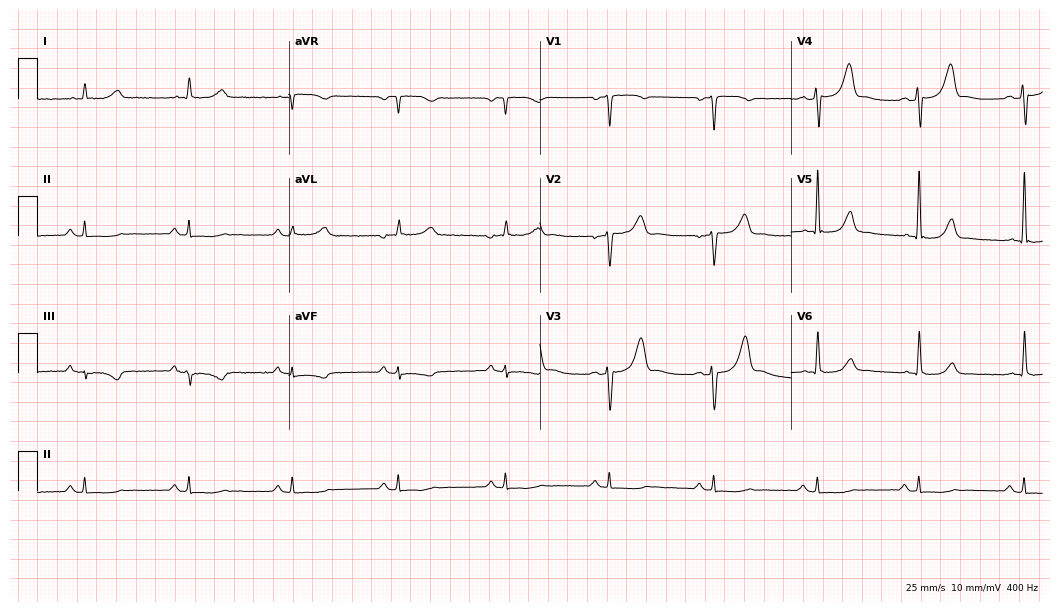
Electrocardiogram (10.2-second recording at 400 Hz), a 57-year-old male patient. Of the six screened findings (first-degree AV block, right bundle branch block, left bundle branch block, sinus bradycardia, atrial fibrillation, sinus tachycardia), none is recorded. Only these six findings were labelled.